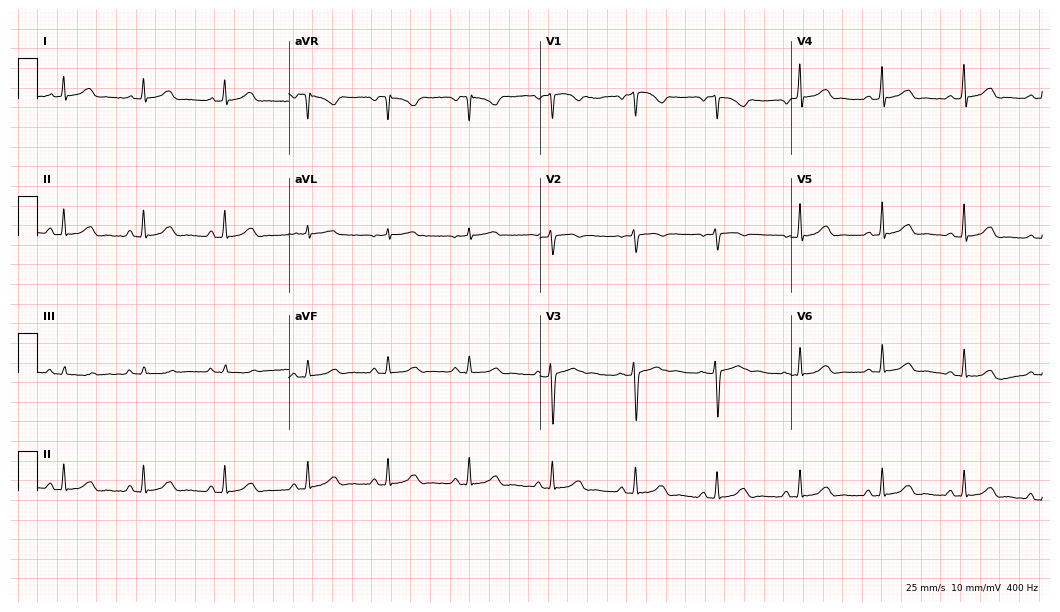
Standard 12-lead ECG recorded from a 23-year-old female. Read as a normal ECG.